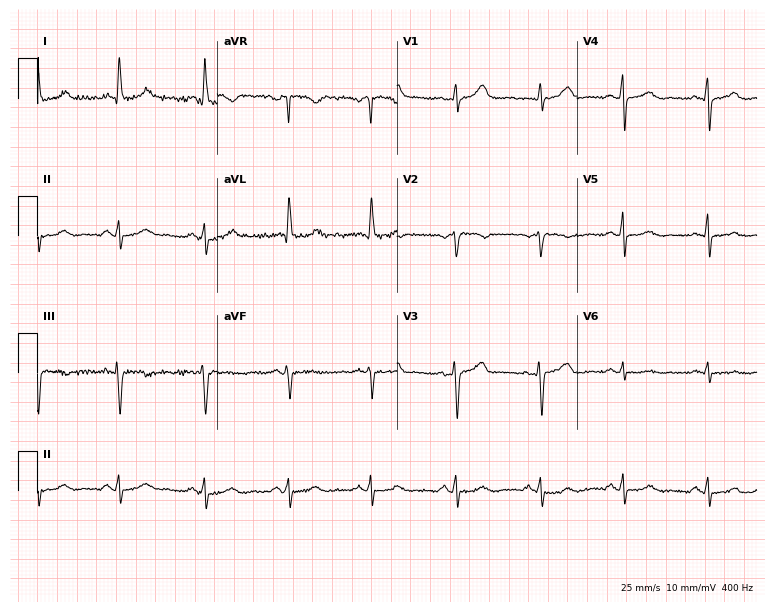
Electrocardiogram (7.3-second recording at 400 Hz), a 49-year-old woman. Of the six screened findings (first-degree AV block, right bundle branch block (RBBB), left bundle branch block (LBBB), sinus bradycardia, atrial fibrillation (AF), sinus tachycardia), none is recorded. Other findings, if any, are not listed.